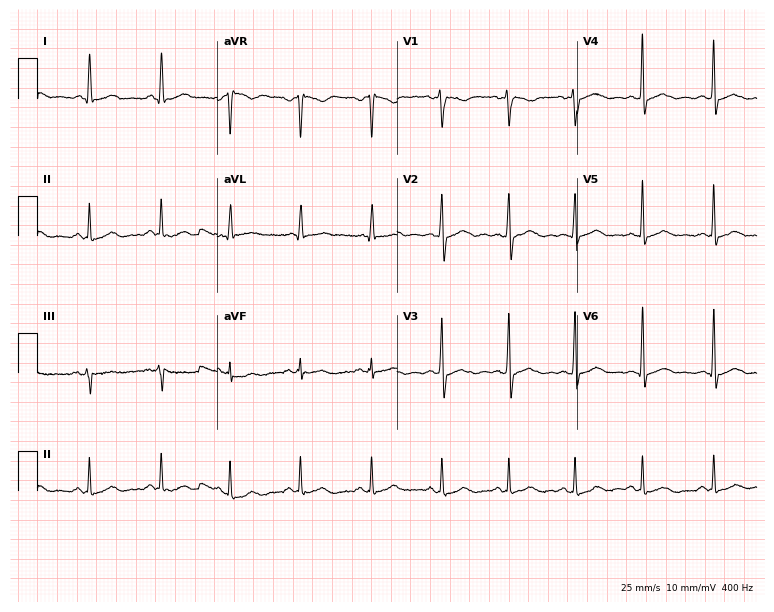
Standard 12-lead ECG recorded from a 37-year-old female patient (7.3-second recording at 400 Hz). Read as a normal ECG.